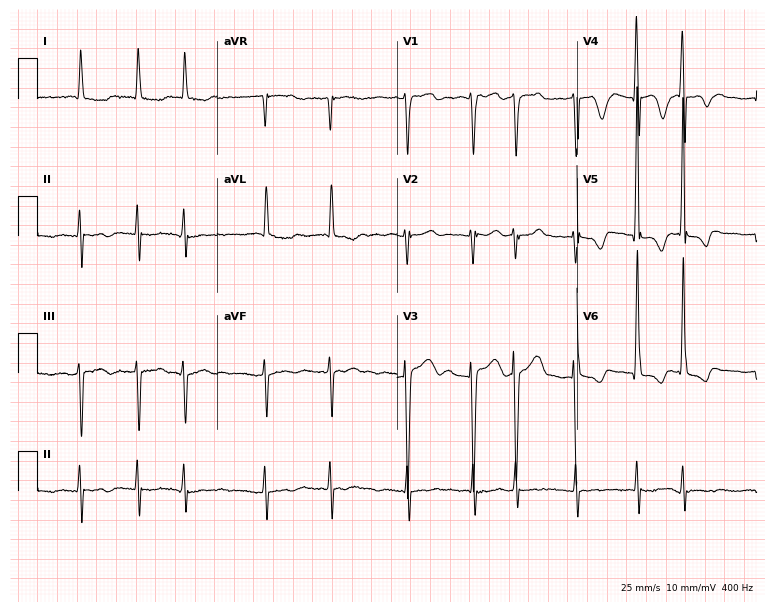
12-lead ECG from a male, 70 years old (7.3-second recording at 400 Hz). Shows atrial fibrillation (AF).